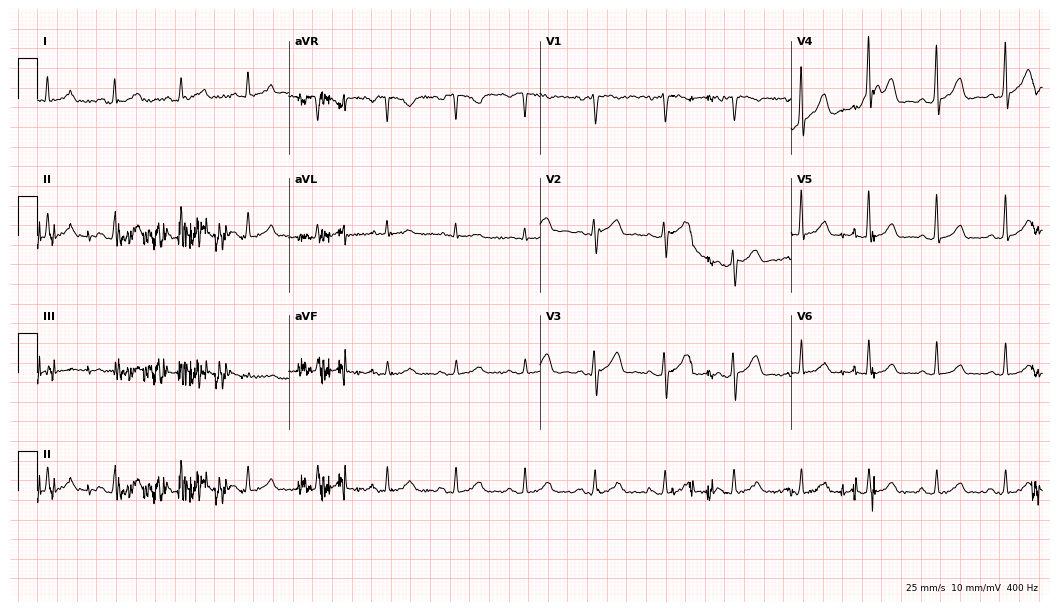
ECG — a 55-year-old female patient. Screened for six findings — first-degree AV block, right bundle branch block, left bundle branch block, sinus bradycardia, atrial fibrillation, sinus tachycardia — none is recorded. Only these six findings were labelled.